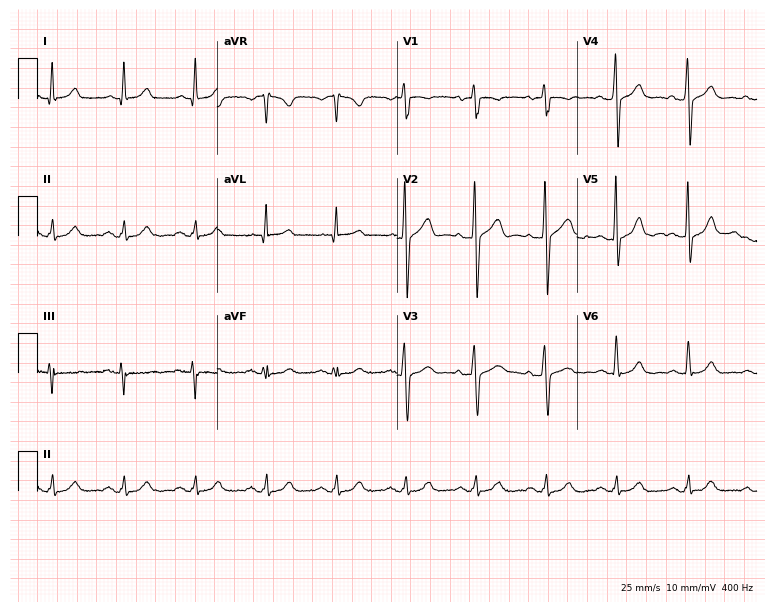
Standard 12-lead ECG recorded from a 47-year-old male patient (7.3-second recording at 400 Hz). Read as a normal ECG.